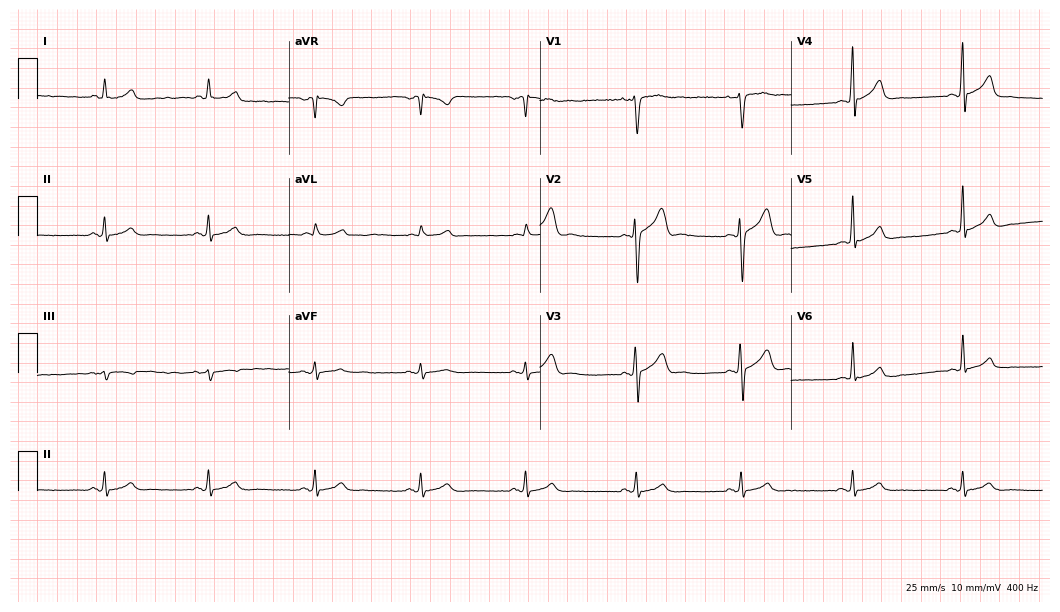
Electrocardiogram, a 32-year-old man. Of the six screened findings (first-degree AV block, right bundle branch block, left bundle branch block, sinus bradycardia, atrial fibrillation, sinus tachycardia), none is recorded.